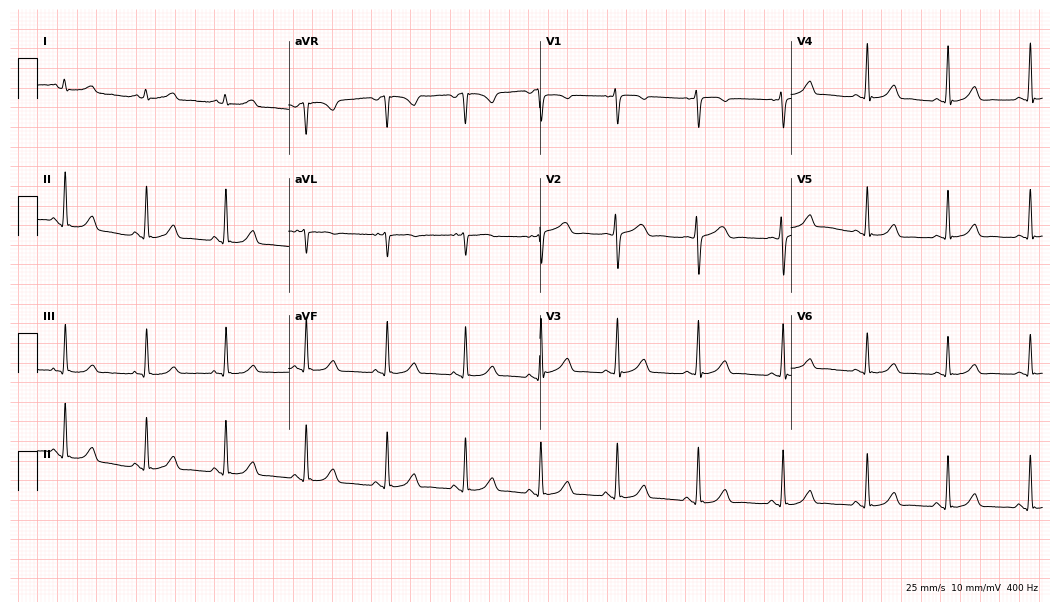
Electrocardiogram (10.2-second recording at 400 Hz), a 25-year-old woman. Overall reading on record: normal ECG.